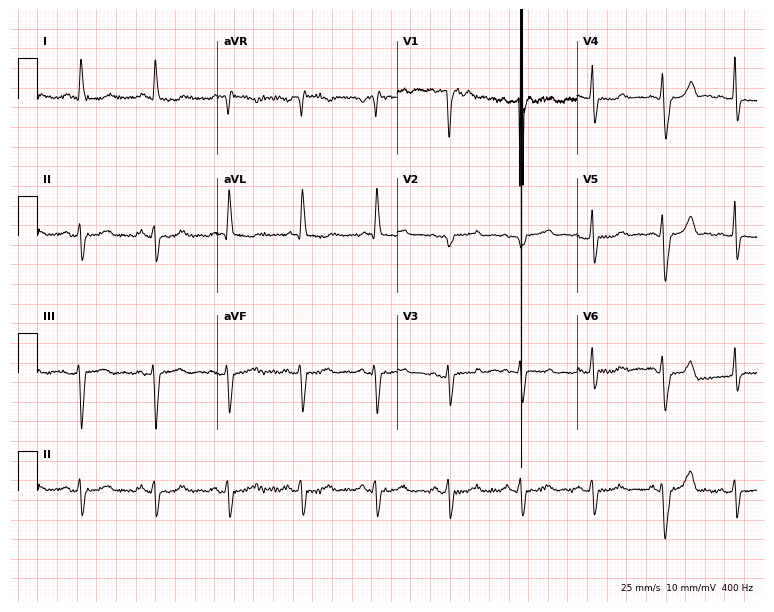
Resting 12-lead electrocardiogram (7.3-second recording at 400 Hz). Patient: a female, 77 years old. None of these six findings is recorded: first-degree AV block, right bundle branch block, left bundle branch block, sinus bradycardia, atrial fibrillation, sinus tachycardia. Other findings, if any, are not listed.